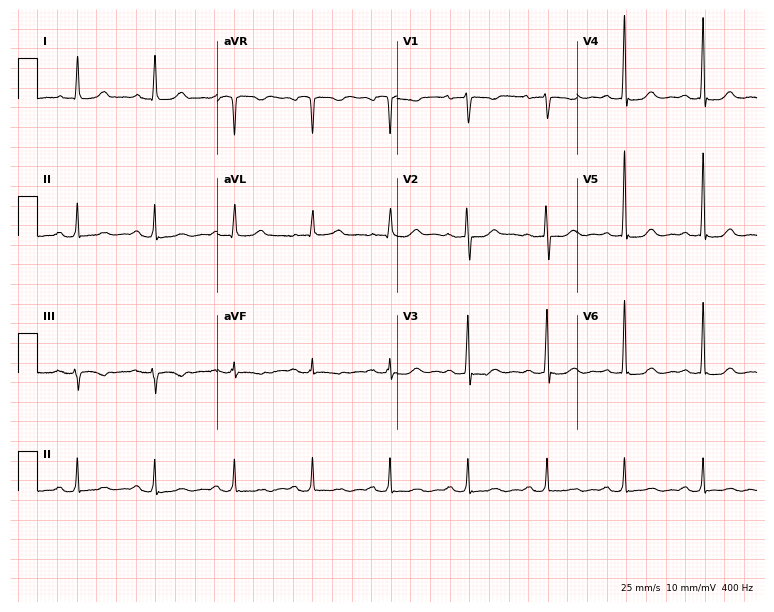
ECG (7.3-second recording at 400 Hz) — a 57-year-old female patient. Screened for six findings — first-degree AV block, right bundle branch block, left bundle branch block, sinus bradycardia, atrial fibrillation, sinus tachycardia — none is recorded.